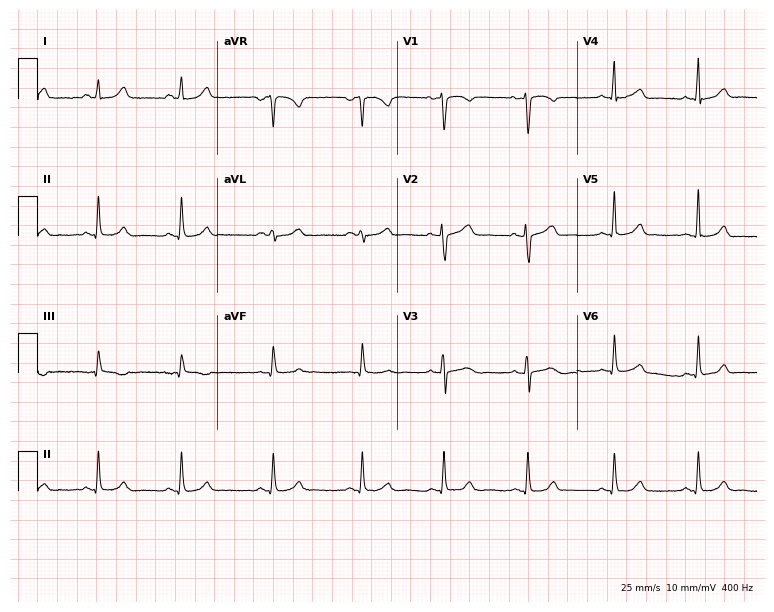
Electrocardiogram (7.3-second recording at 400 Hz), a female, 25 years old. Overall reading on record: normal ECG.